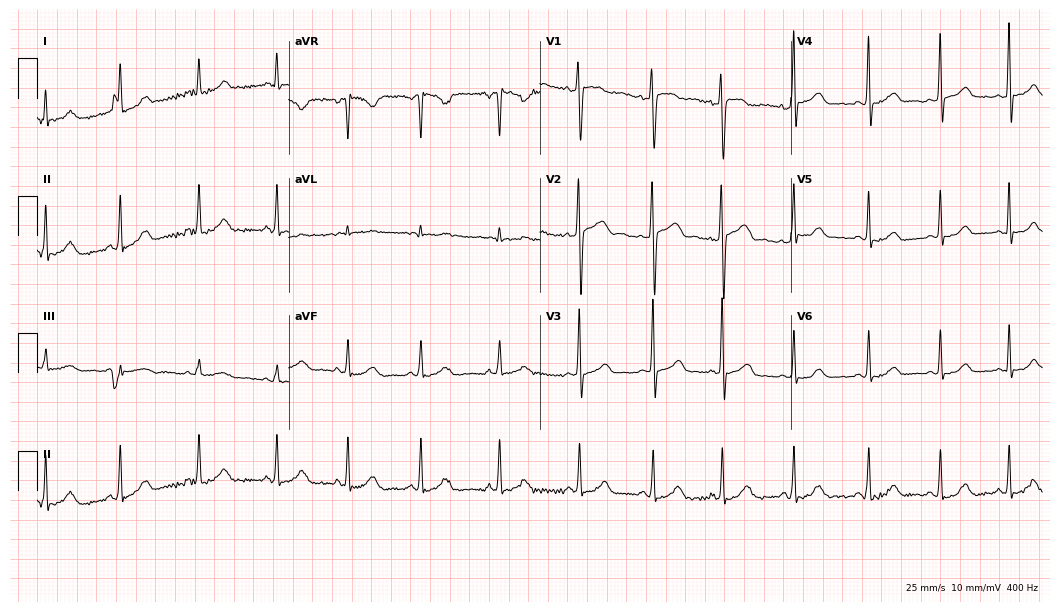
12-lead ECG (10.2-second recording at 400 Hz) from a 45-year-old woman. Screened for six findings — first-degree AV block, right bundle branch block, left bundle branch block, sinus bradycardia, atrial fibrillation, sinus tachycardia — none is recorded. Findings outside these six are not listed.